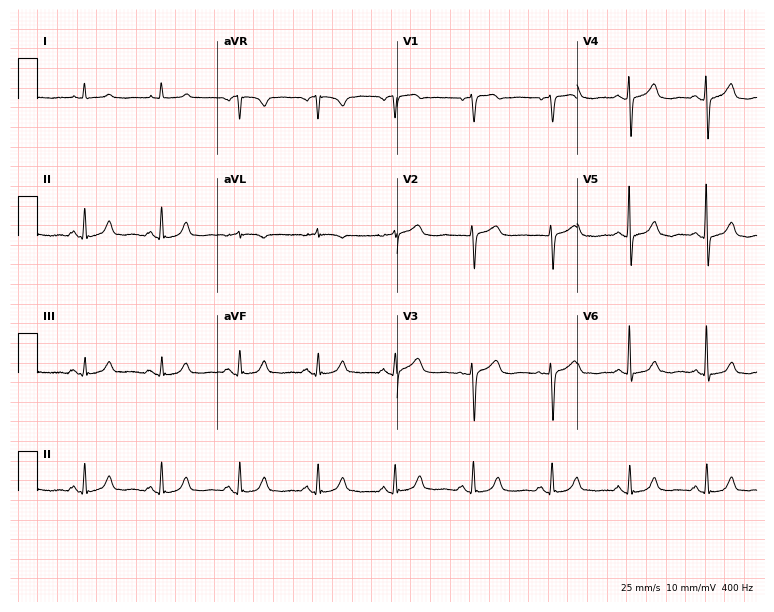
ECG (7.3-second recording at 400 Hz) — an 85-year-old woman. Labelled as a normal ECG.